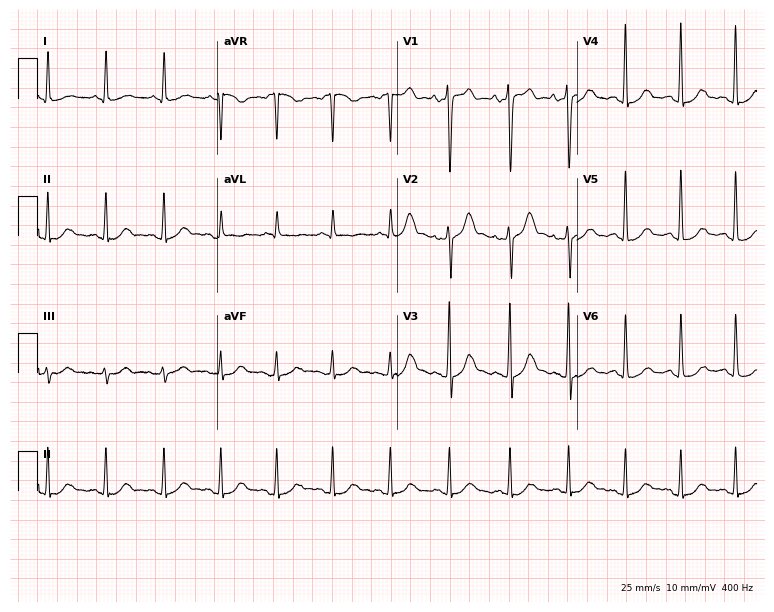
Standard 12-lead ECG recorded from a female patient, 32 years old (7.3-second recording at 400 Hz). Read as a normal ECG.